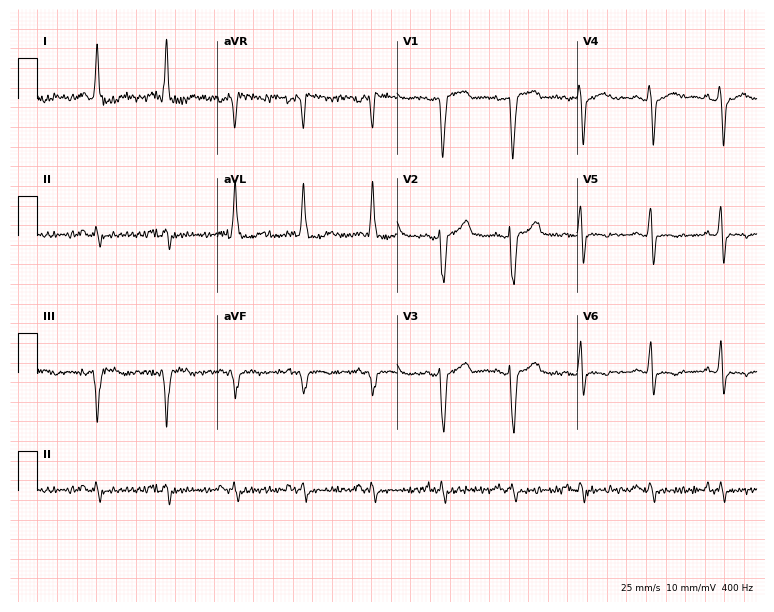
ECG — a 56-year-old man. Screened for six findings — first-degree AV block, right bundle branch block, left bundle branch block, sinus bradycardia, atrial fibrillation, sinus tachycardia — none is recorded. Only these six findings were labelled.